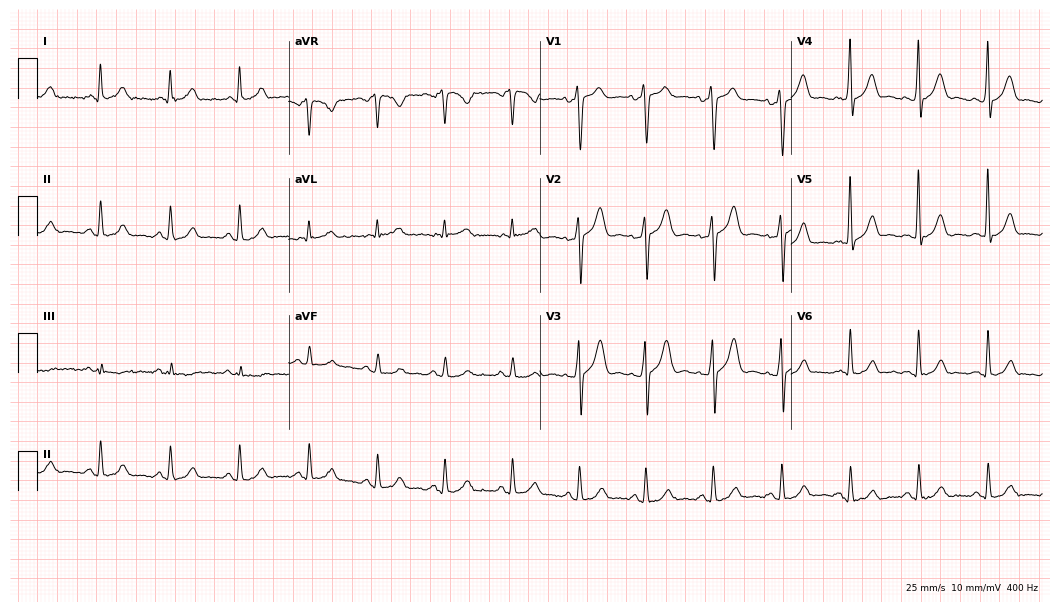
12-lead ECG from a 37-year-old male. No first-degree AV block, right bundle branch block (RBBB), left bundle branch block (LBBB), sinus bradycardia, atrial fibrillation (AF) or sinus tachycardia recorded for this tracing.